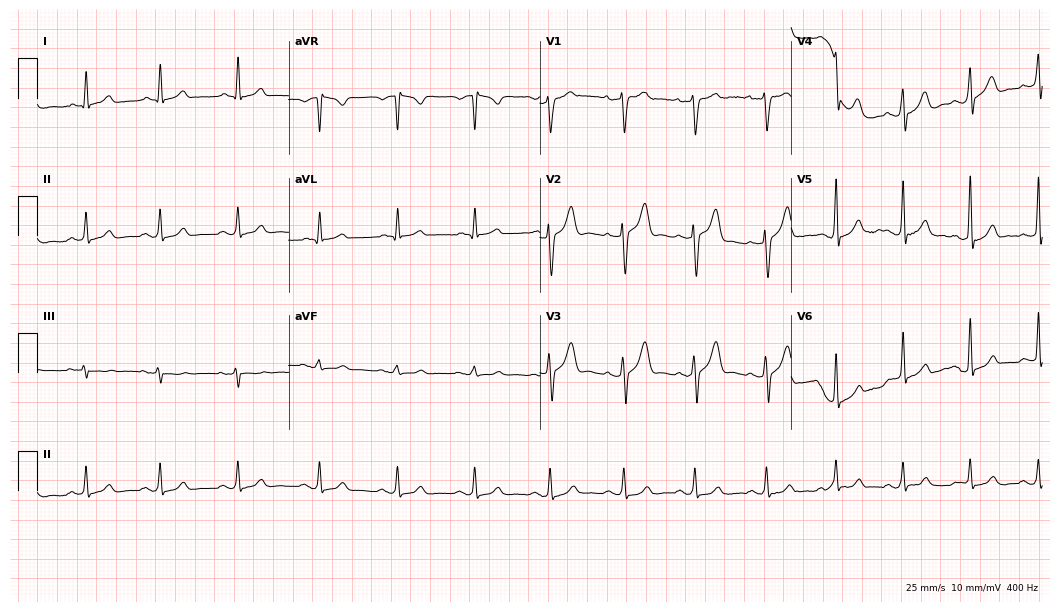
12-lead ECG from a male, 36 years old. Labelled as a normal ECG.